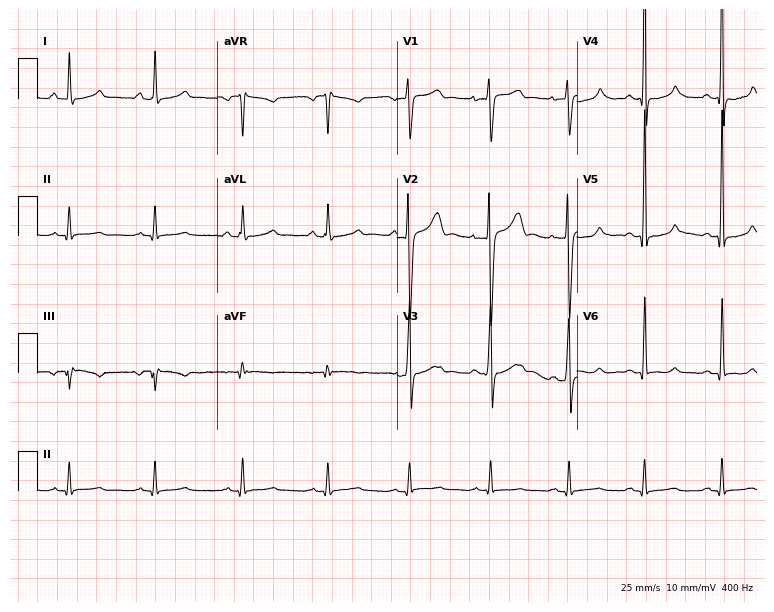
12-lead ECG (7.3-second recording at 400 Hz) from a male, 24 years old. Screened for six findings — first-degree AV block, right bundle branch block, left bundle branch block, sinus bradycardia, atrial fibrillation, sinus tachycardia — none is recorded.